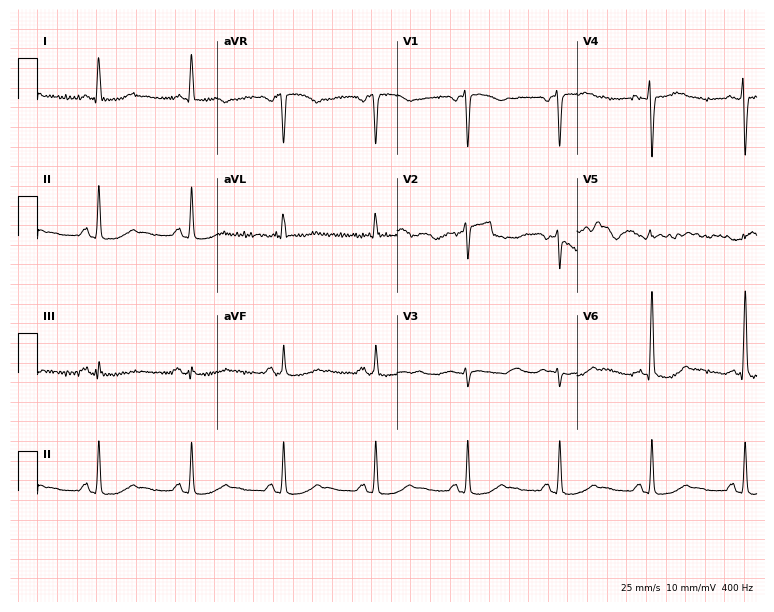
Resting 12-lead electrocardiogram (7.3-second recording at 400 Hz). Patient: a female, 47 years old. None of these six findings is recorded: first-degree AV block, right bundle branch block, left bundle branch block, sinus bradycardia, atrial fibrillation, sinus tachycardia. Other findings, if any, are not listed.